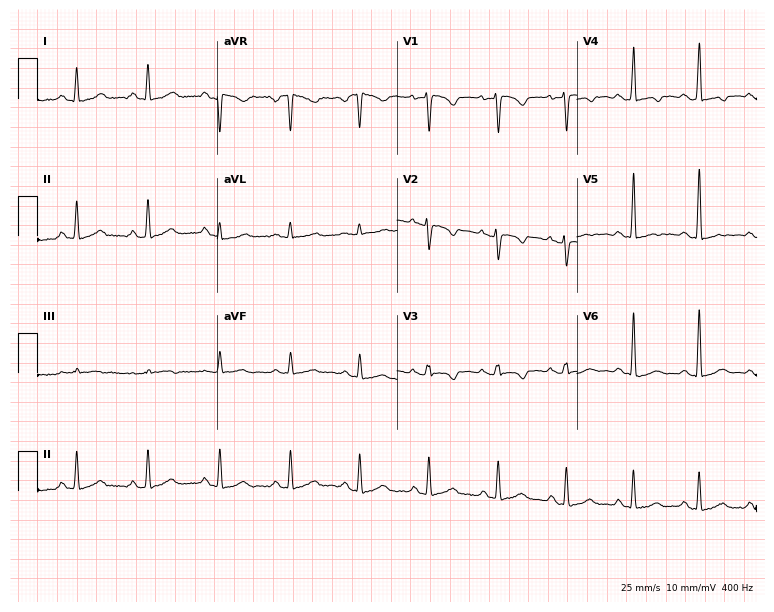
ECG (7.3-second recording at 400 Hz) — a 35-year-old female patient. Screened for six findings — first-degree AV block, right bundle branch block, left bundle branch block, sinus bradycardia, atrial fibrillation, sinus tachycardia — none is recorded.